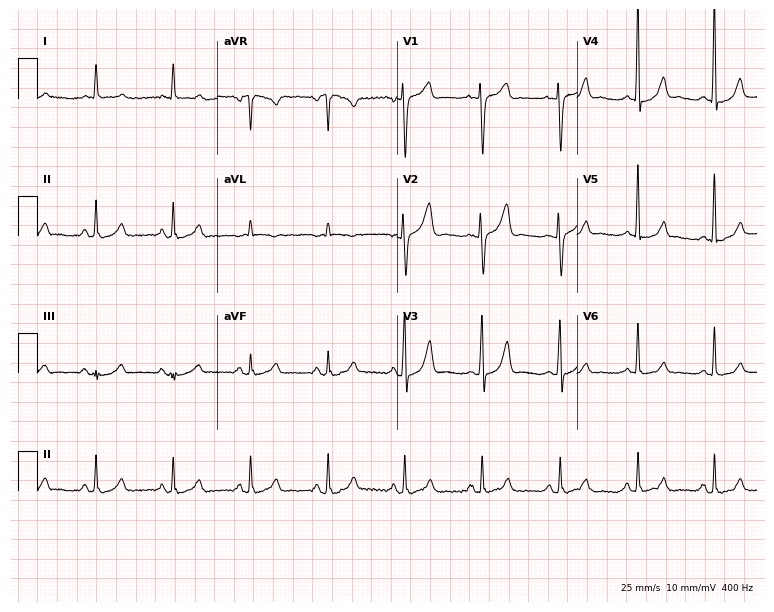
12-lead ECG from a male, 20 years old. Screened for six findings — first-degree AV block, right bundle branch block, left bundle branch block, sinus bradycardia, atrial fibrillation, sinus tachycardia — none is recorded. Findings outside these six are not listed.